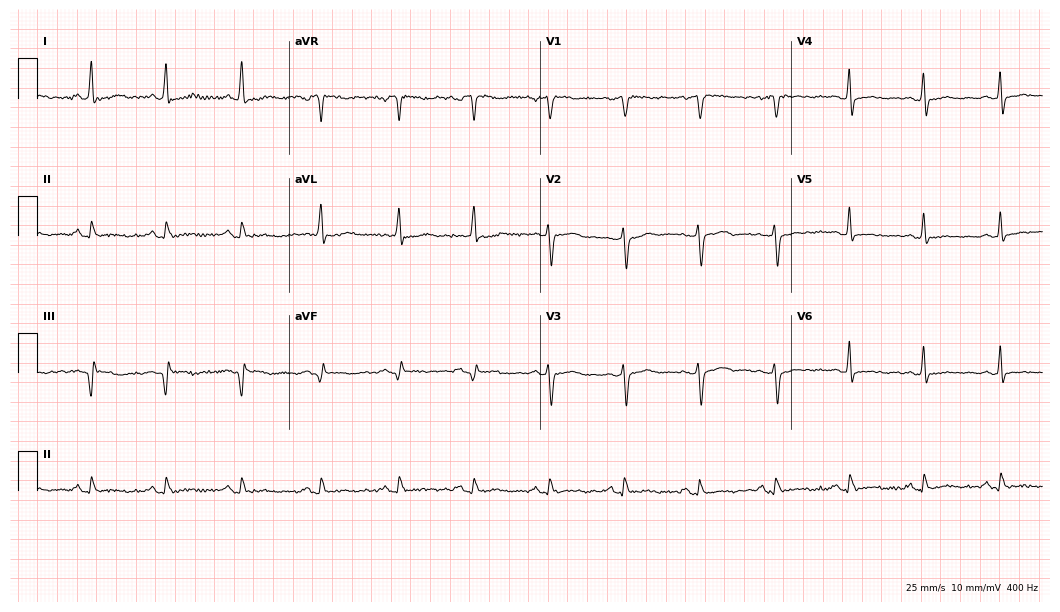
12-lead ECG from a 58-year-old woman. No first-degree AV block, right bundle branch block, left bundle branch block, sinus bradycardia, atrial fibrillation or sinus tachycardia recorded for this tracing. Findings outside these six are not listed.